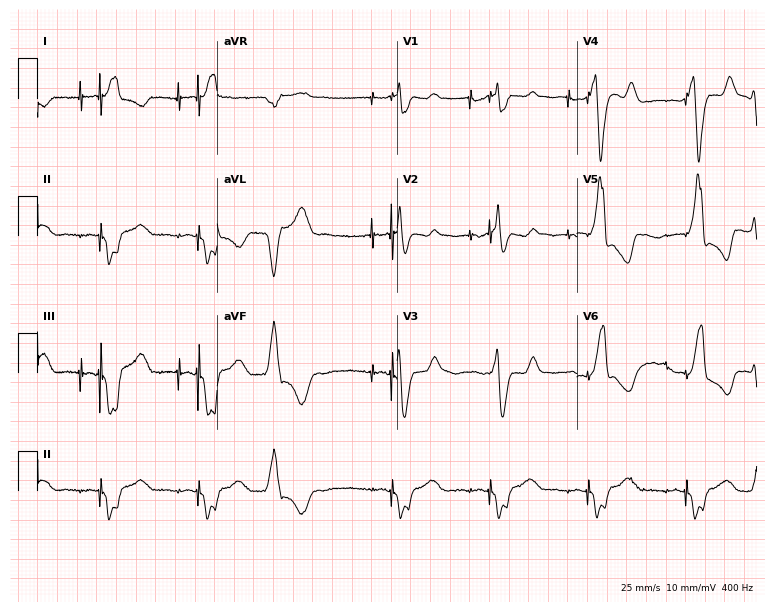
12-lead ECG (7.3-second recording at 400 Hz) from an 83-year-old man. Screened for six findings — first-degree AV block, right bundle branch block (RBBB), left bundle branch block (LBBB), sinus bradycardia, atrial fibrillation (AF), sinus tachycardia — none is recorded. Only these six findings were labelled.